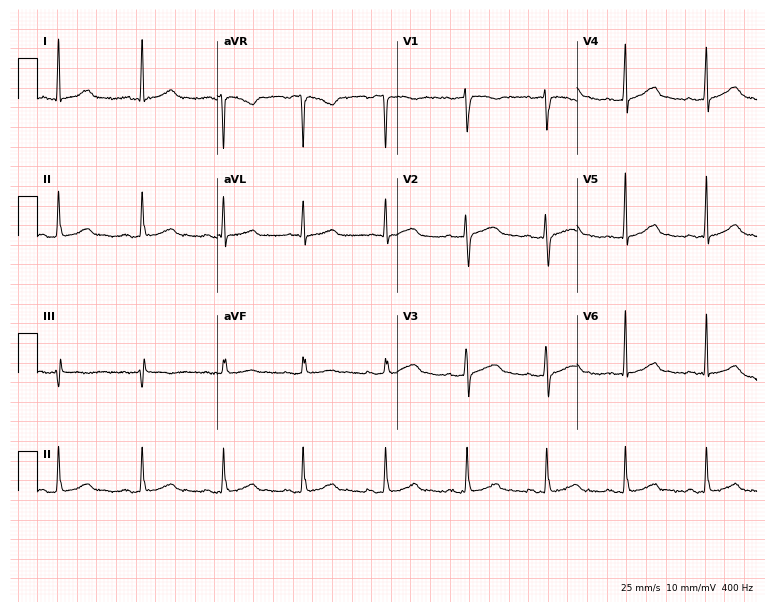
ECG (7.3-second recording at 400 Hz) — a 24-year-old female patient. Labelled as a normal ECG.